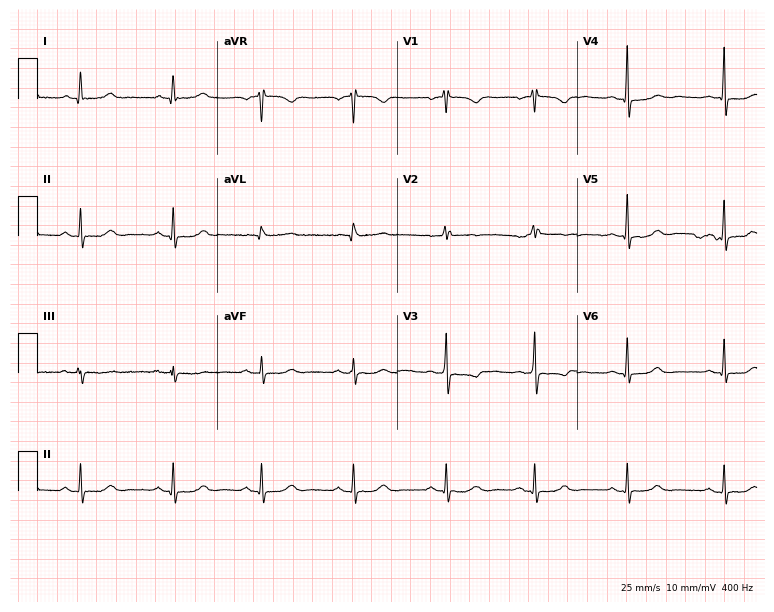
Electrocardiogram (7.3-second recording at 400 Hz), a 65-year-old female patient. Of the six screened findings (first-degree AV block, right bundle branch block, left bundle branch block, sinus bradycardia, atrial fibrillation, sinus tachycardia), none is recorded. Findings outside these six are not listed.